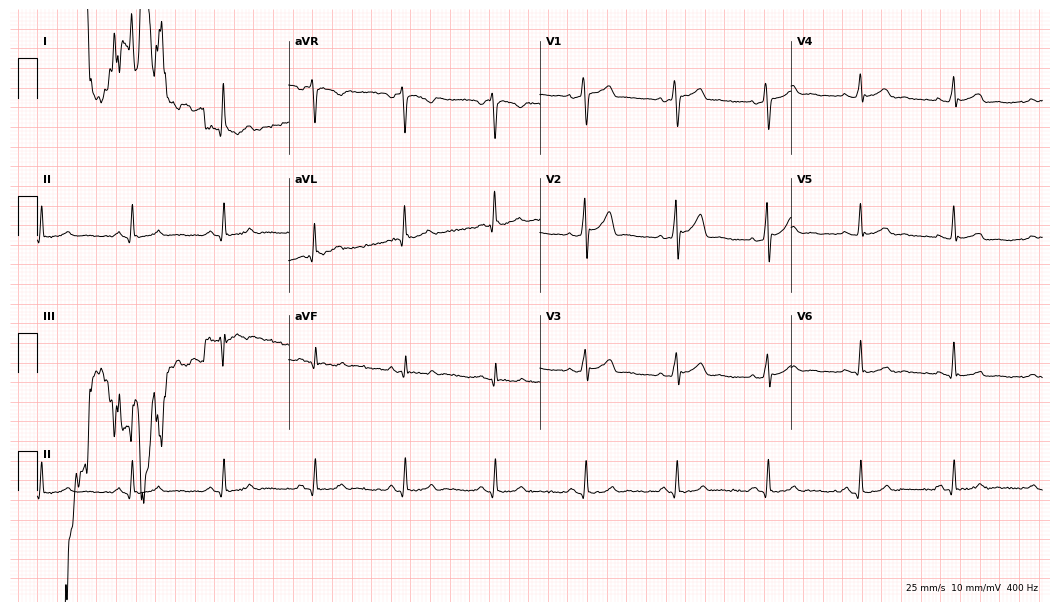
Standard 12-lead ECG recorded from a 35-year-old man. Read as a normal ECG.